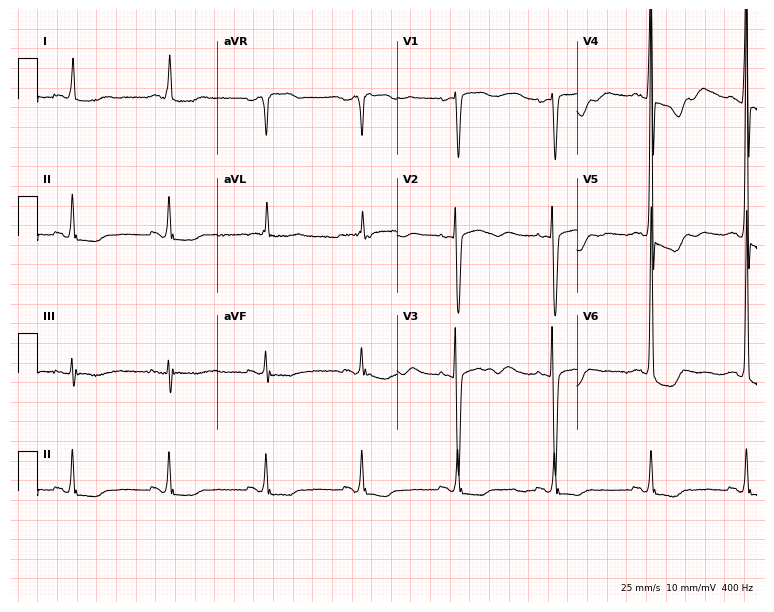
Resting 12-lead electrocardiogram. Patient: a female, 86 years old. None of these six findings is recorded: first-degree AV block, right bundle branch block, left bundle branch block, sinus bradycardia, atrial fibrillation, sinus tachycardia. Findings outside these six are not listed.